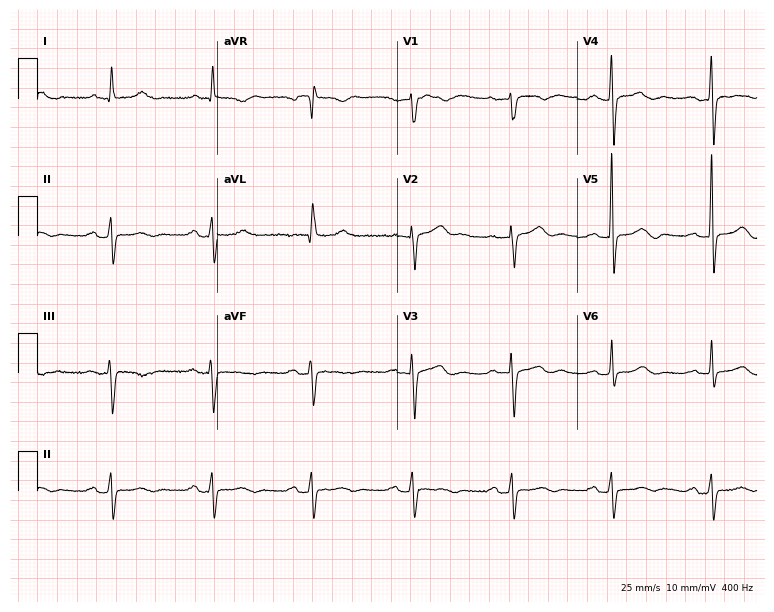
Electrocardiogram, a male, 81 years old. Of the six screened findings (first-degree AV block, right bundle branch block, left bundle branch block, sinus bradycardia, atrial fibrillation, sinus tachycardia), none is recorded. Other findings, if any, are not listed.